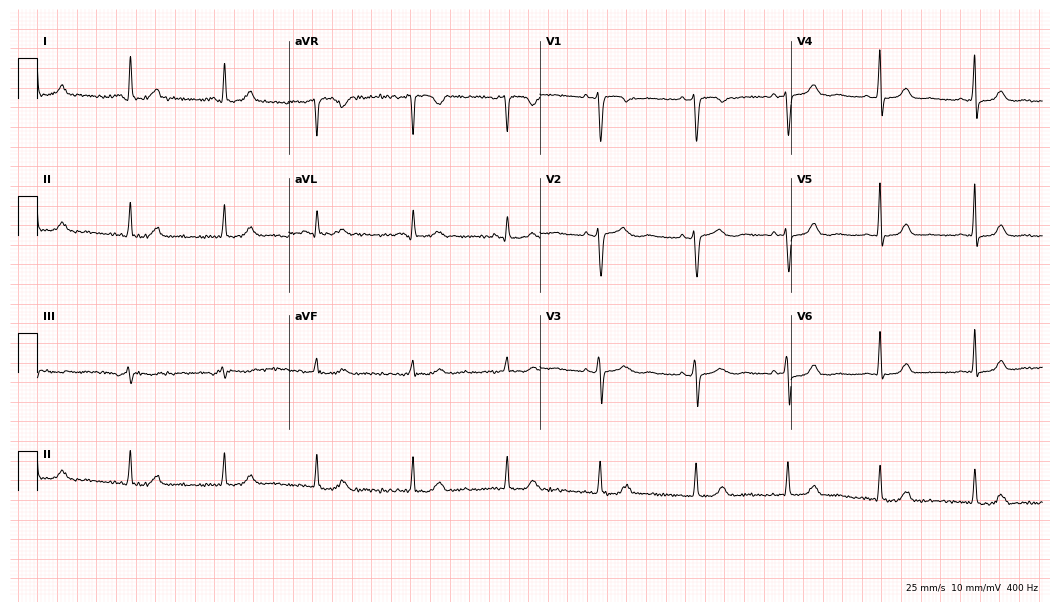
12-lead ECG from a 46-year-old woman. Recorded interpretation: within normal limits.